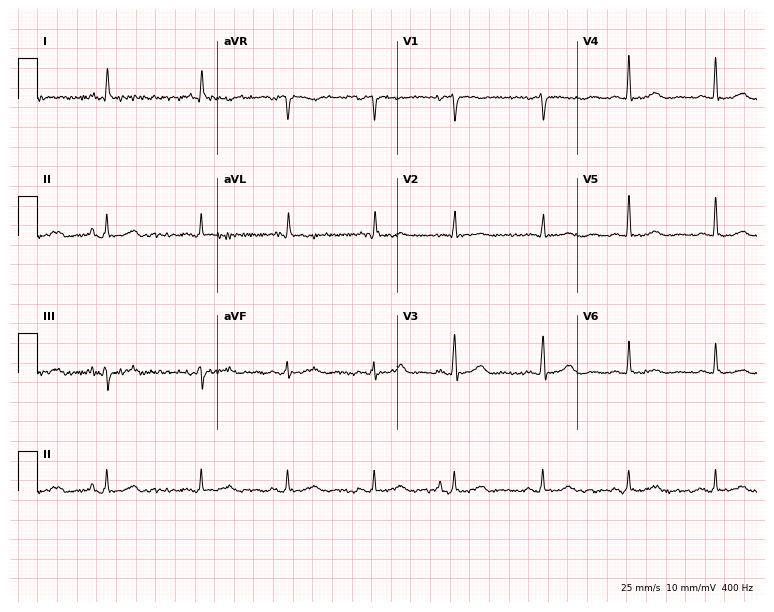
Electrocardiogram (7.3-second recording at 400 Hz), an 82-year-old female patient. Of the six screened findings (first-degree AV block, right bundle branch block, left bundle branch block, sinus bradycardia, atrial fibrillation, sinus tachycardia), none is recorded.